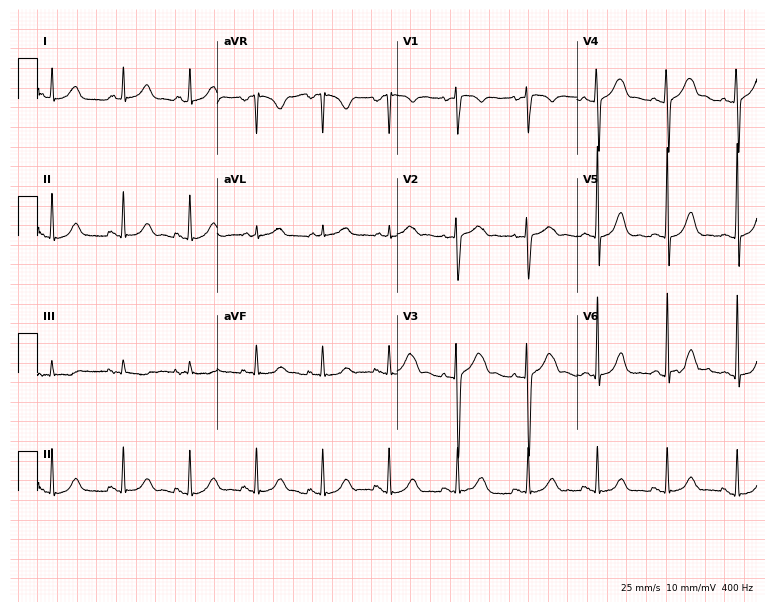
12-lead ECG from a 33-year-old female (7.3-second recording at 400 Hz). Recorded interpretation: within normal limits.